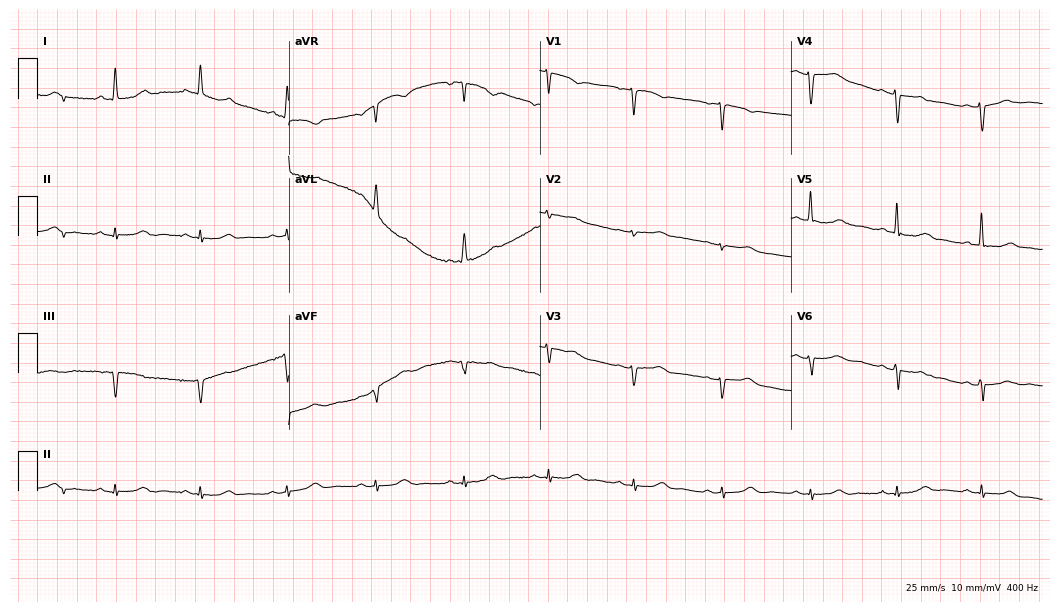
Resting 12-lead electrocardiogram (10.2-second recording at 400 Hz). Patient: a female, 71 years old. None of these six findings is recorded: first-degree AV block, right bundle branch block, left bundle branch block, sinus bradycardia, atrial fibrillation, sinus tachycardia. Findings outside these six are not listed.